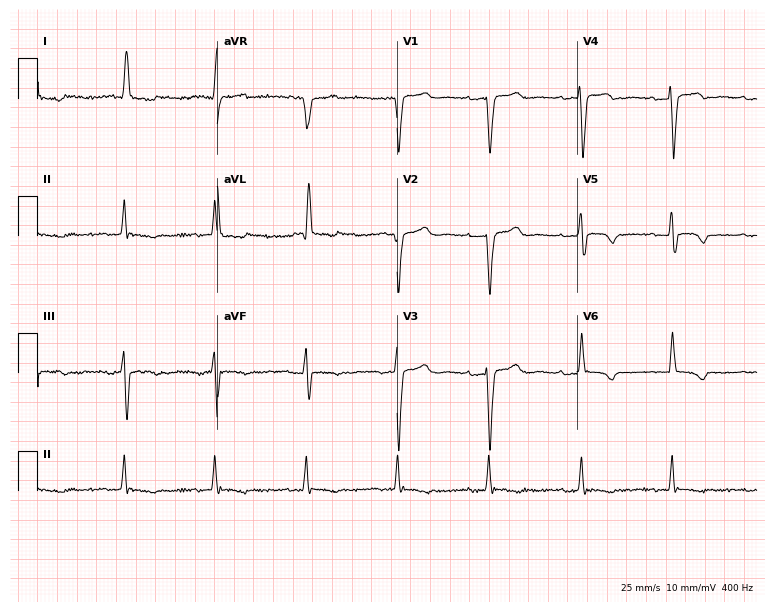
ECG — a woman, 68 years old. Screened for six findings — first-degree AV block, right bundle branch block (RBBB), left bundle branch block (LBBB), sinus bradycardia, atrial fibrillation (AF), sinus tachycardia — none is recorded.